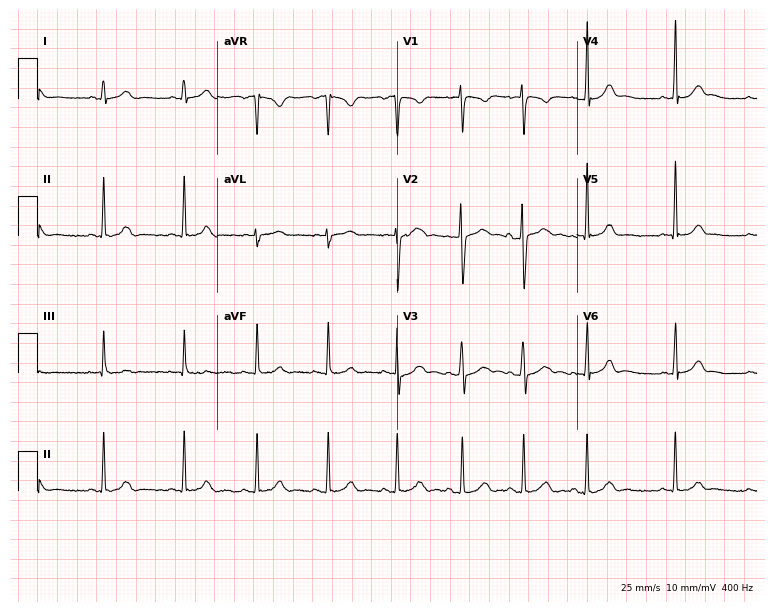
ECG (7.3-second recording at 400 Hz) — a woman, 26 years old. Screened for six findings — first-degree AV block, right bundle branch block, left bundle branch block, sinus bradycardia, atrial fibrillation, sinus tachycardia — none is recorded.